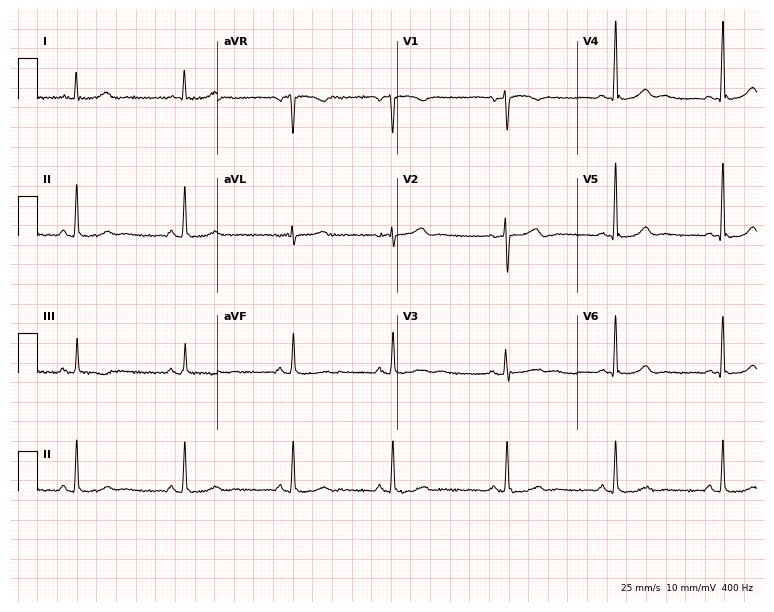
ECG — a 57-year-old female. Screened for six findings — first-degree AV block, right bundle branch block, left bundle branch block, sinus bradycardia, atrial fibrillation, sinus tachycardia — none is recorded. Findings outside these six are not listed.